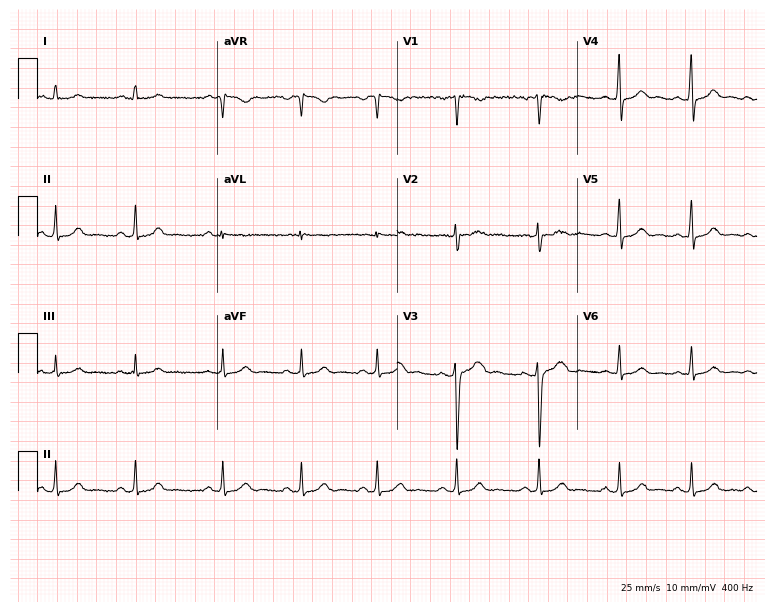
ECG (7.3-second recording at 400 Hz) — a woman, 26 years old. Labelled as a normal ECG.